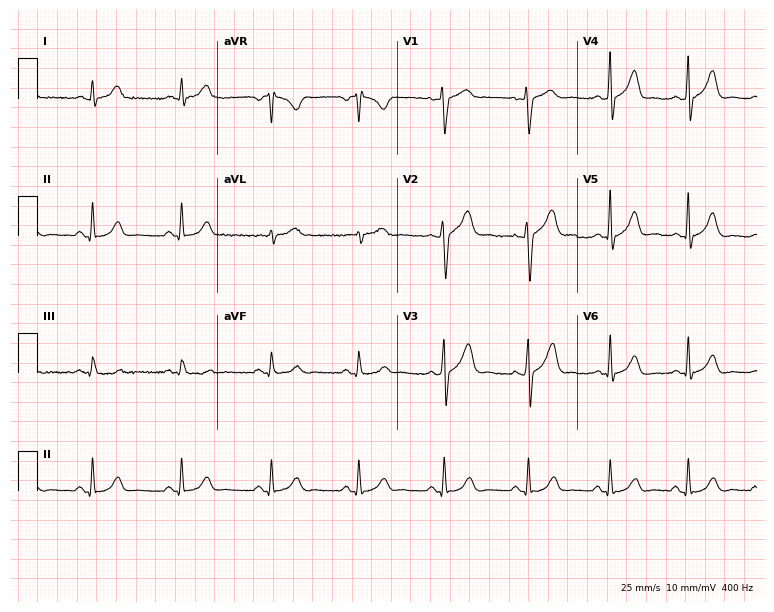
12-lead ECG from a man, 43 years old. Labelled as a normal ECG.